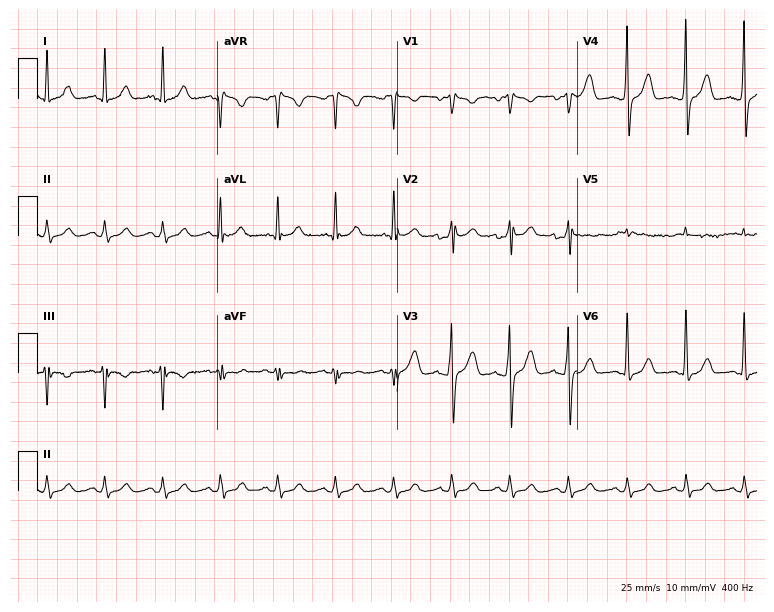
ECG (7.3-second recording at 400 Hz) — a man, 40 years old. Findings include sinus tachycardia (a sinus rate of 100 beats per minute or more).